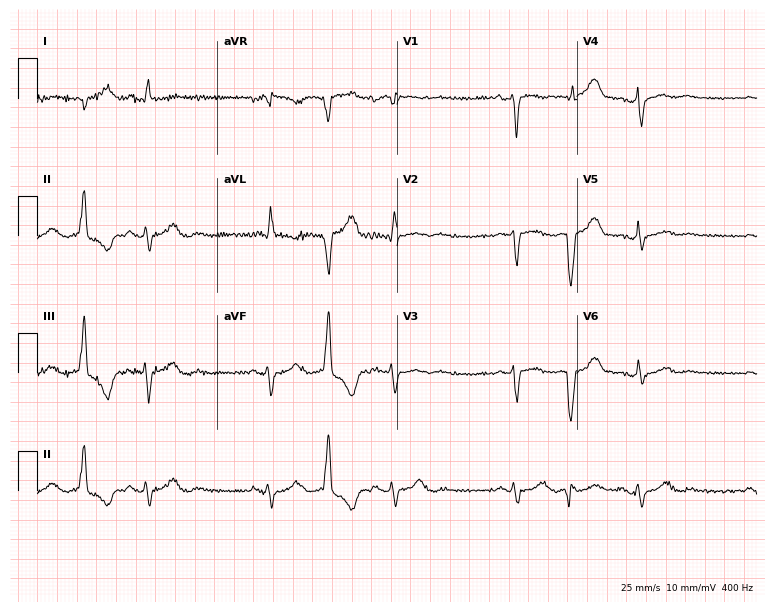
ECG — a female, 46 years old. Screened for six findings — first-degree AV block, right bundle branch block (RBBB), left bundle branch block (LBBB), sinus bradycardia, atrial fibrillation (AF), sinus tachycardia — none is recorded.